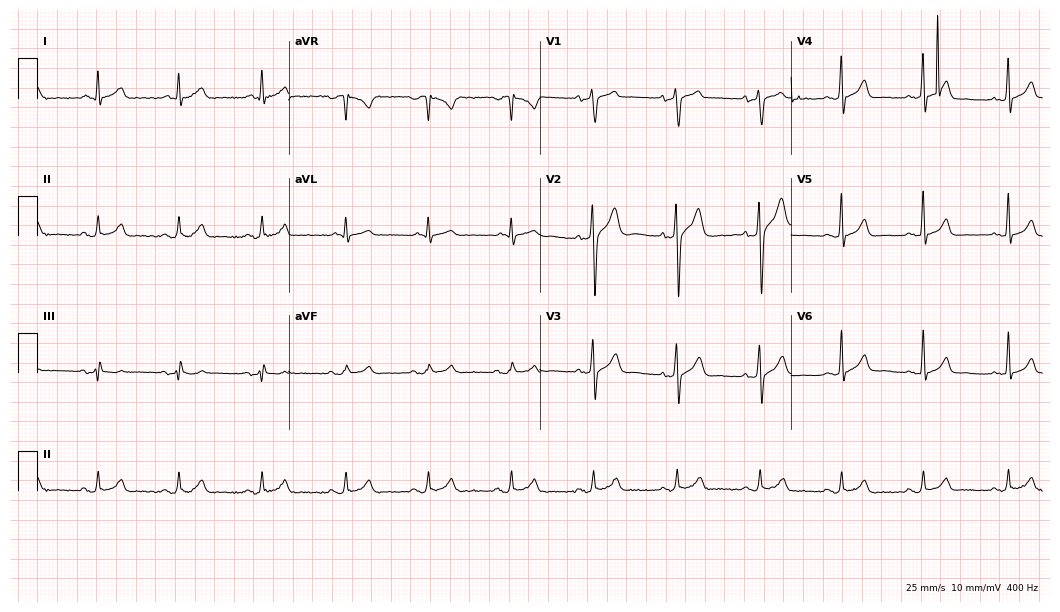
ECG — a man, 52 years old. Labelled as a normal ECG.